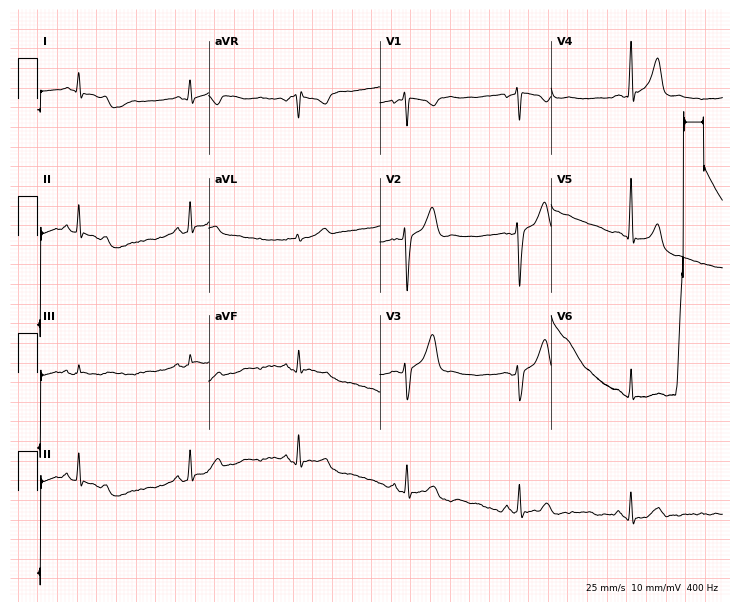
Electrocardiogram (7-second recording at 400 Hz), a 39-year-old male patient. Of the six screened findings (first-degree AV block, right bundle branch block (RBBB), left bundle branch block (LBBB), sinus bradycardia, atrial fibrillation (AF), sinus tachycardia), none is recorded. Other findings, if any, are not listed.